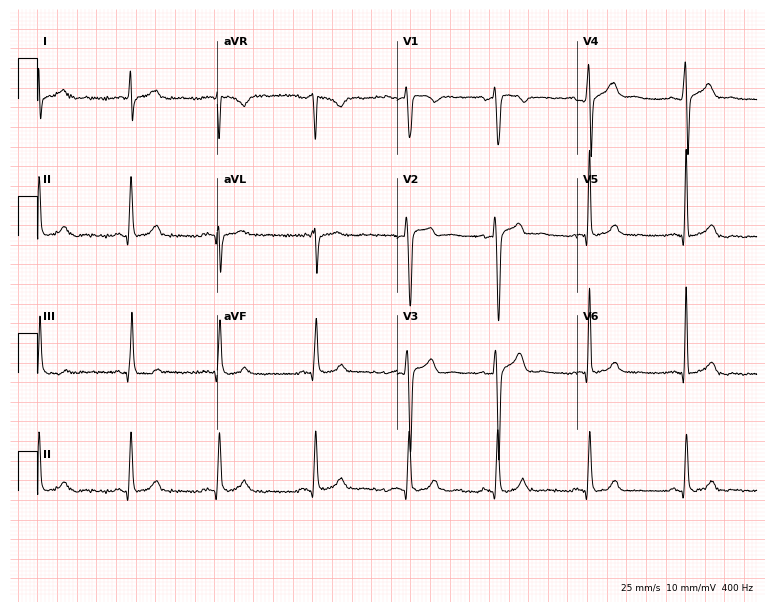
Resting 12-lead electrocardiogram (7.3-second recording at 400 Hz). Patient: a 51-year-old male. Read as a normal ECG.